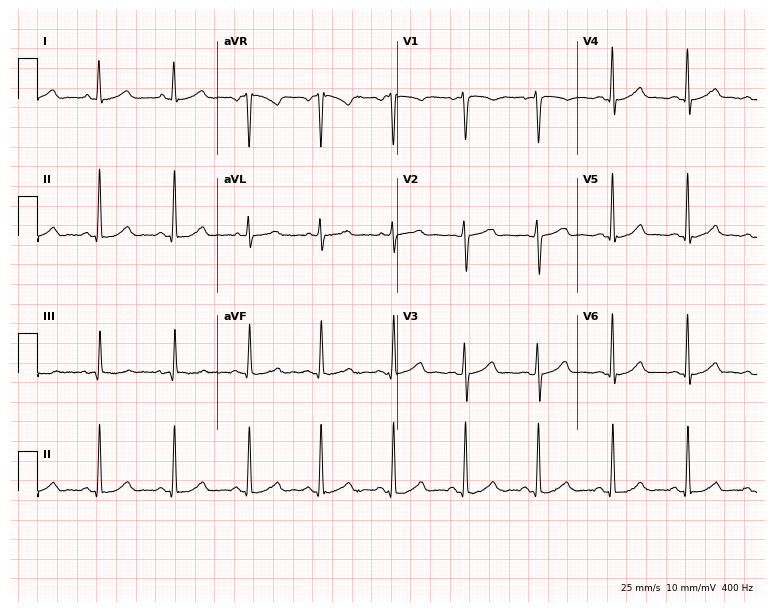
Electrocardiogram, a female patient, 25 years old. Overall reading on record: normal ECG.